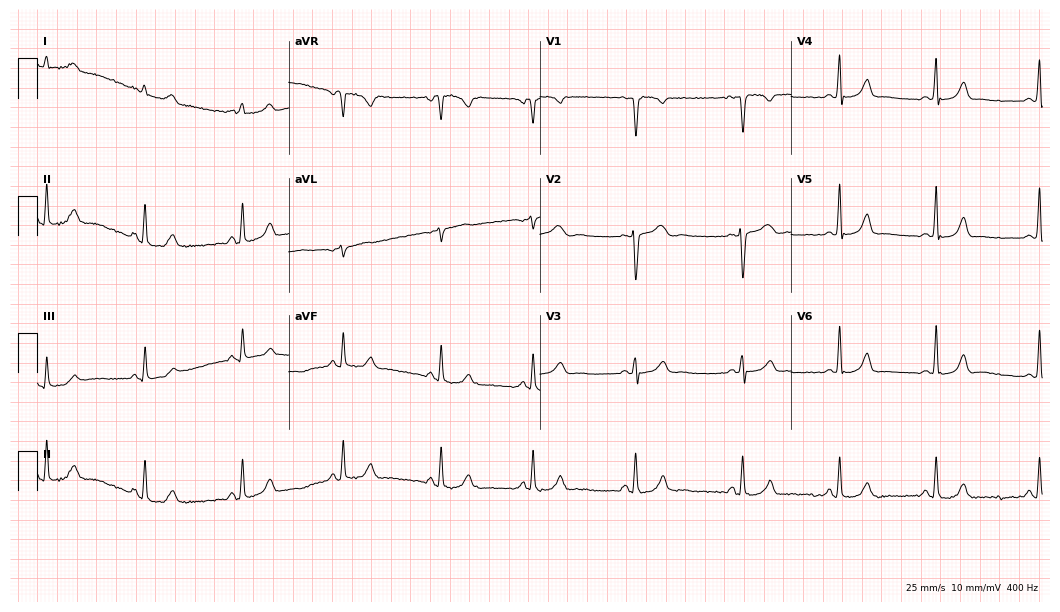
Electrocardiogram (10.2-second recording at 400 Hz), a 26-year-old female. Of the six screened findings (first-degree AV block, right bundle branch block (RBBB), left bundle branch block (LBBB), sinus bradycardia, atrial fibrillation (AF), sinus tachycardia), none is recorded.